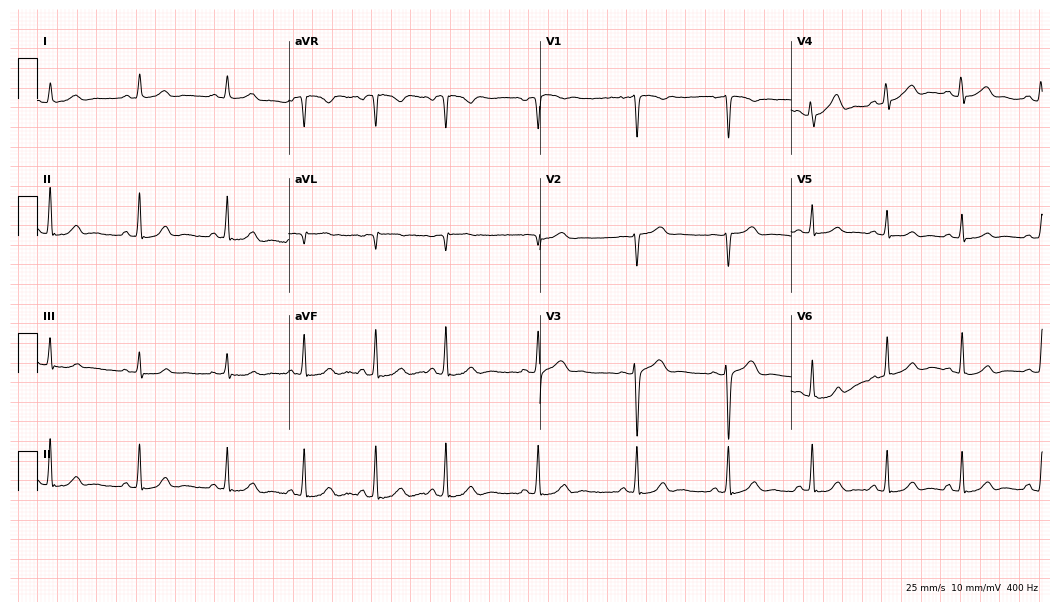
Resting 12-lead electrocardiogram. Patient: a 21-year-old female. Read as a normal ECG.